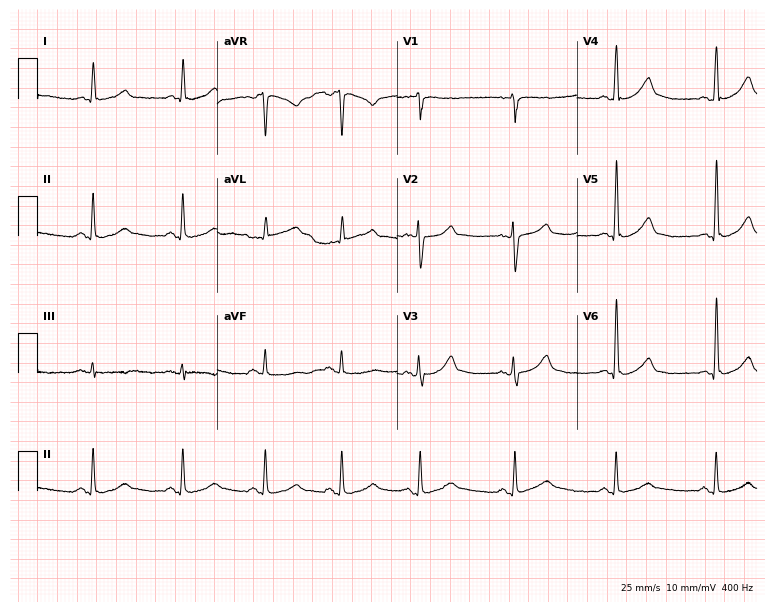
Standard 12-lead ECG recorded from a male, 48 years old. Read as a normal ECG.